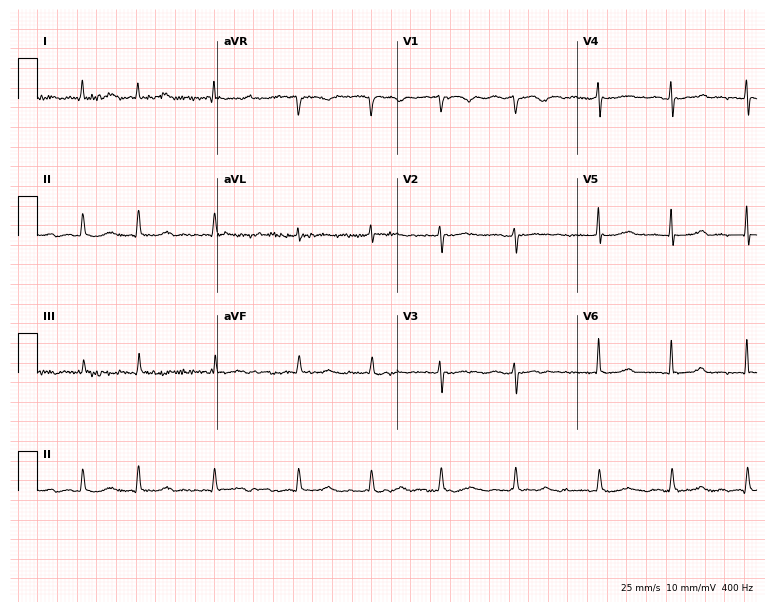
Electrocardiogram, an 84-year-old woman. Interpretation includes atrial fibrillation.